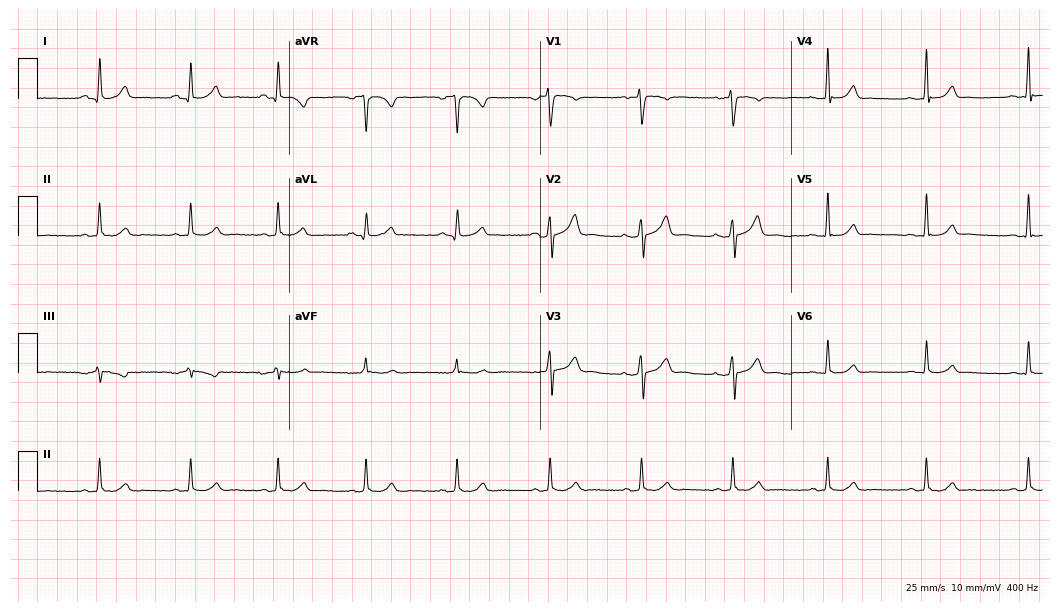
ECG (10.2-second recording at 400 Hz) — a 36-year-old man. Screened for six findings — first-degree AV block, right bundle branch block, left bundle branch block, sinus bradycardia, atrial fibrillation, sinus tachycardia — none is recorded. Only these six findings were labelled.